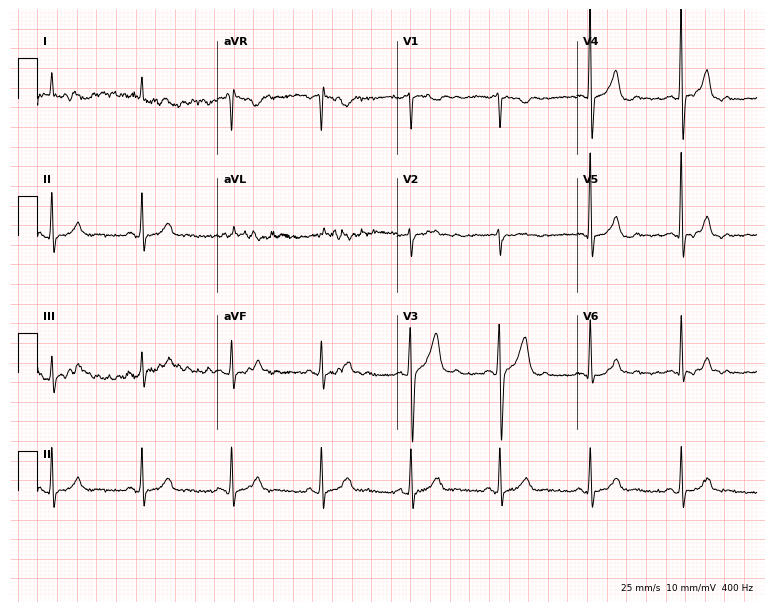
ECG — a male patient, 76 years old. Screened for six findings — first-degree AV block, right bundle branch block, left bundle branch block, sinus bradycardia, atrial fibrillation, sinus tachycardia — none is recorded.